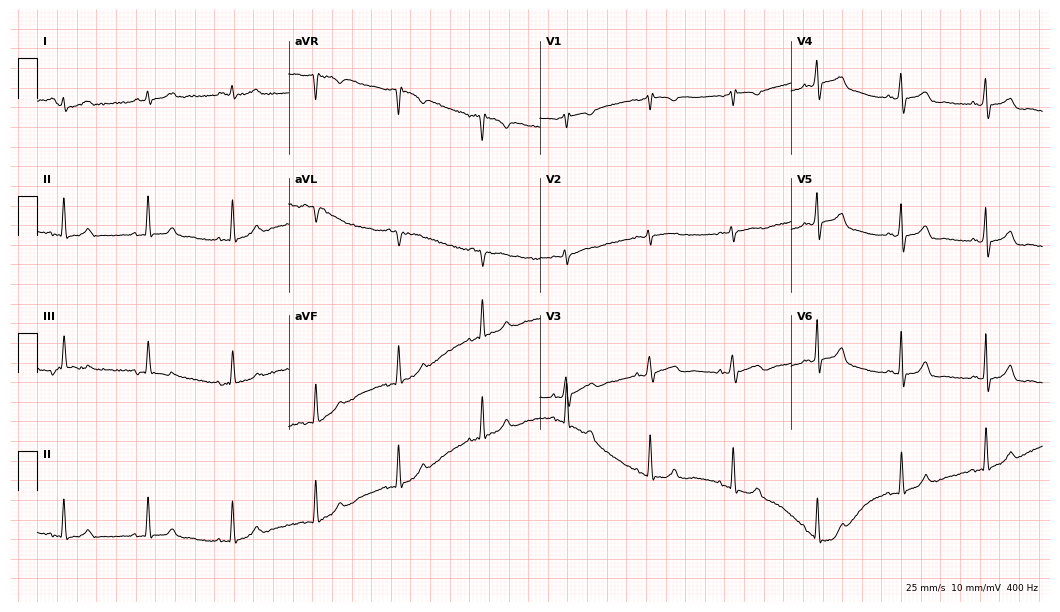
ECG — a male, 79 years old. Labelled as a normal ECG.